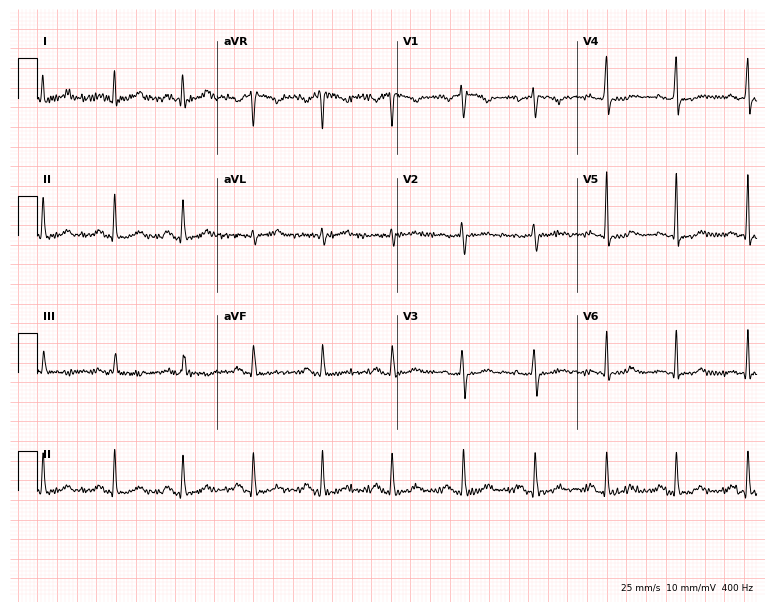
Electrocardiogram, a 35-year-old female. Of the six screened findings (first-degree AV block, right bundle branch block, left bundle branch block, sinus bradycardia, atrial fibrillation, sinus tachycardia), none is recorded. Findings outside these six are not listed.